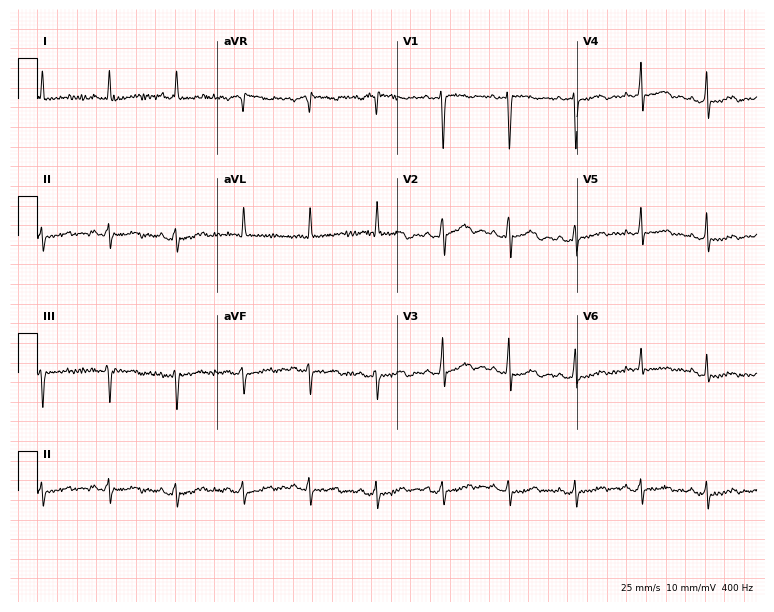
ECG — a woman, 52 years old. Screened for six findings — first-degree AV block, right bundle branch block, left bundle branch block, sinus bradycardia, atrial fibrillation, sinus tachycardia — none is recorded. Other findings, if any, are not listed.